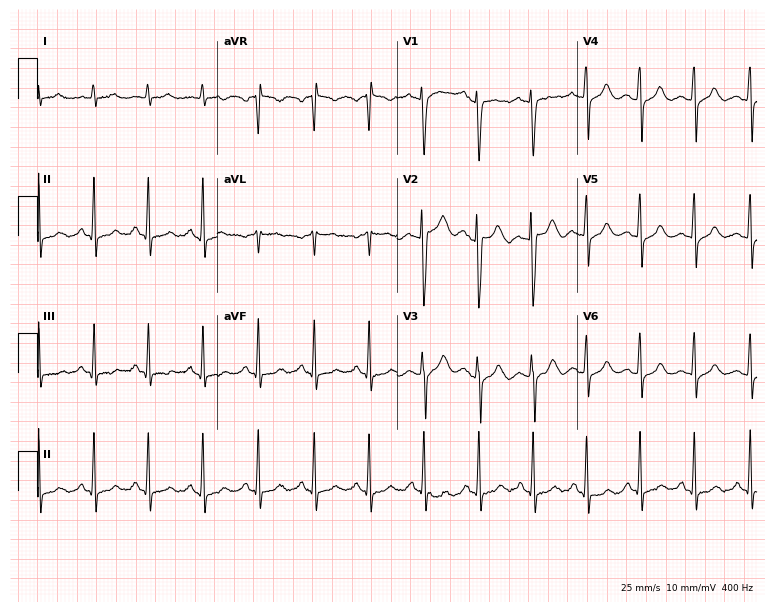
12-lead ECG from a 30-year-old female patient. Findings include sinus tachycardia (a sinus rate of 100 beats per minute or more).